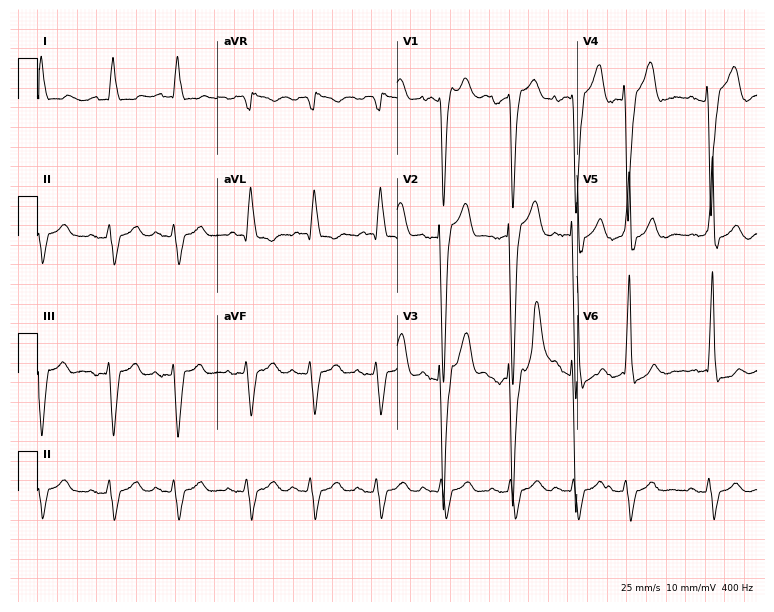
ECG (7.3-second recording at 400 Hz) — a man, 74 years old. Findings include left bundle branch block.